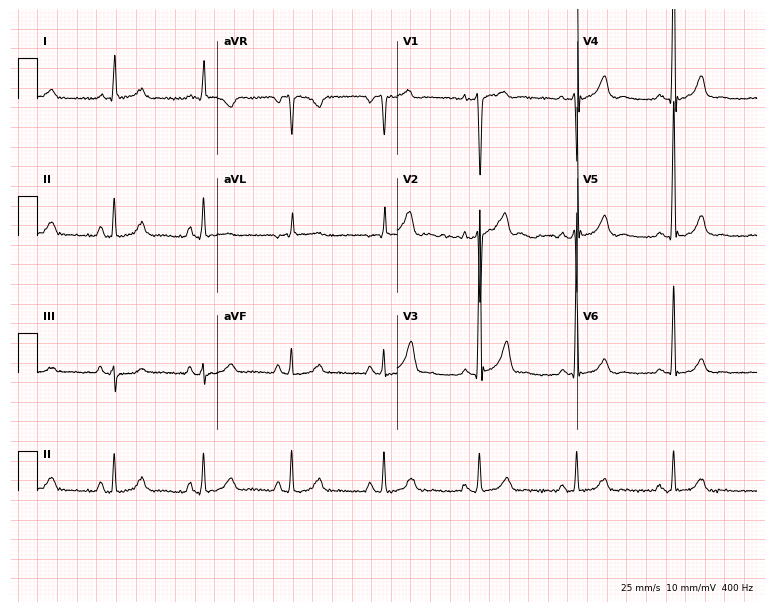
12-lead ECG from a male patient, 55 years old. Screened for six findings — first-degree AV block, right bundle branch block, left bundle branch block, sinus bradycardia, atrial fibrillation, sinus tachycardia — none is recorded.